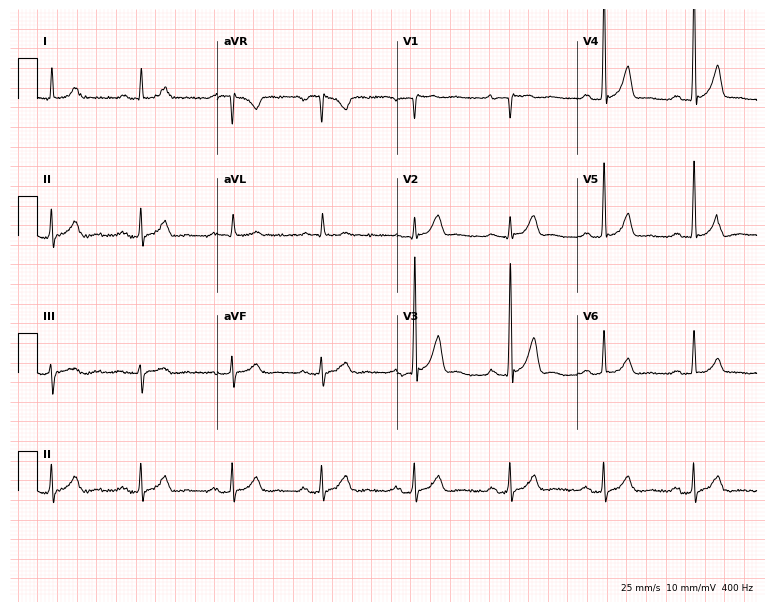
Electrocardiogram (7.3-second recording at 400 Hz), a male patient, 63 years old. Overall reading on record: normal ECG.